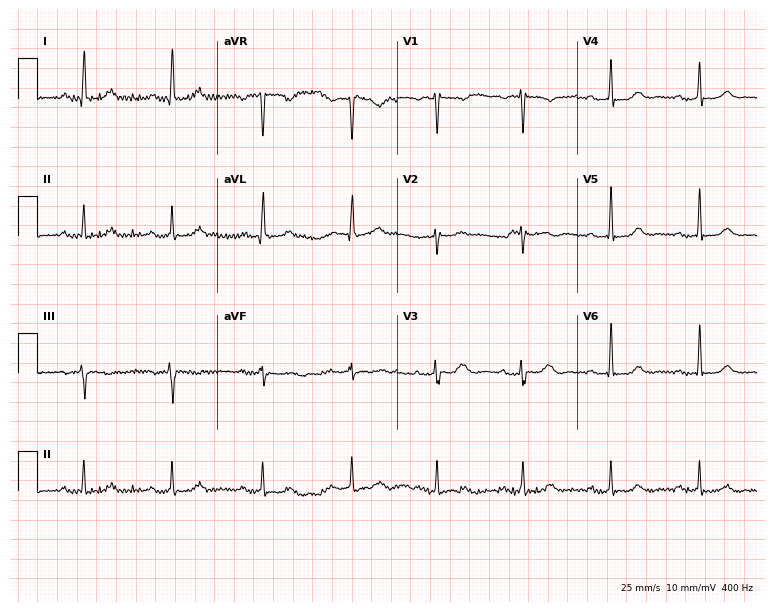
Electrocardiogram (7.3-second recording at 400 Hz), a 57-year-old female patient. Of the six screened findings (first-degree AV block, right bundle branch block, left bundle branch block, sinus bradycardia, atrial fibrillation, sinus tachycardia), none is recorded. Other findings, if any, are not listed.